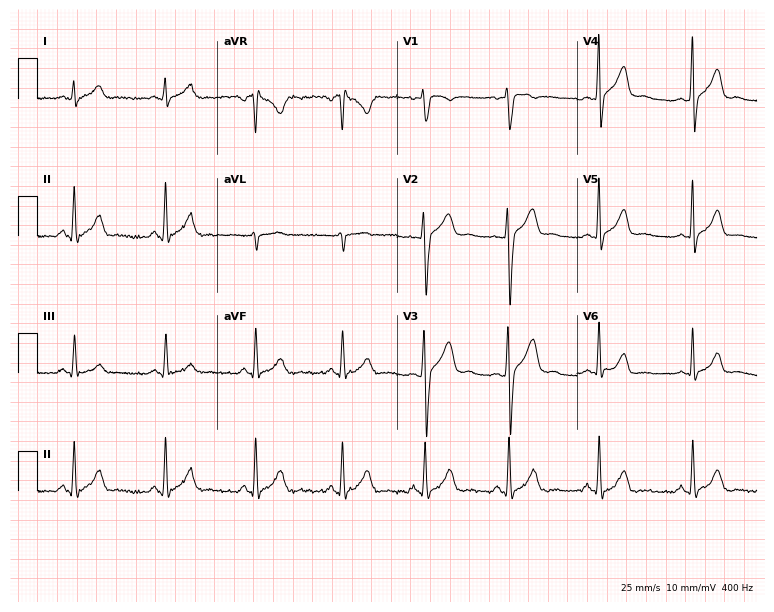
12-lead ECG from a male patient, 31 years old. Recorded interpretation: within normal limits.